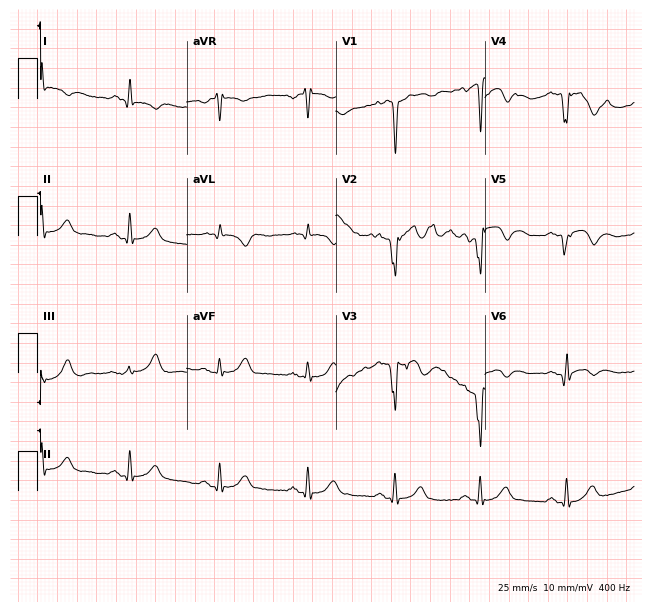
12-lead ECG from a man, 72 years old. Screened for six findings — first-degree AV block, right bundle branch block, left bundle branch block, sinus bradycardia, atrial fibrillation, sinus tachycardia — none is recorded. Only these six findings were labelled.